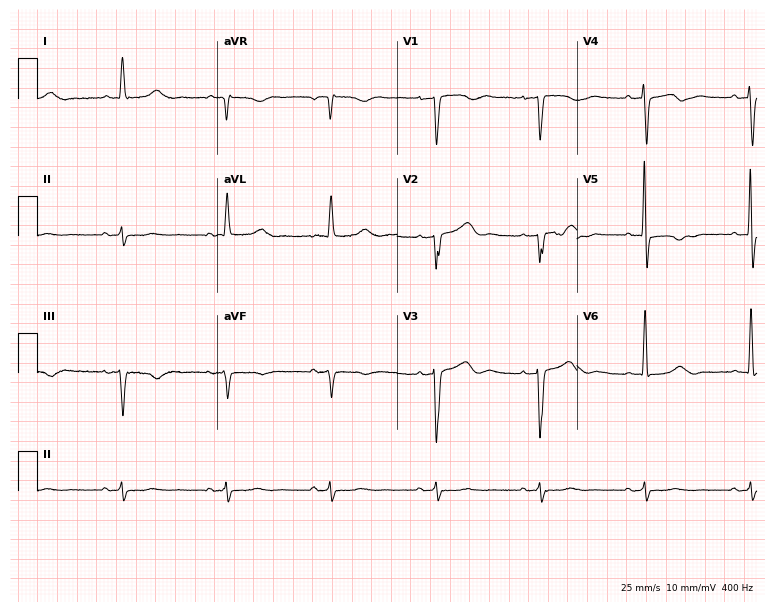
12-lead ECG from an 83-year-old female (7.3-second recording at 400 Hz). No first-degree AV block, right bundle branch block (RBBB), left bundle branch block (LBBB), sinus bradycardia, atrial fibrillation (AF) or sinus tachycardia recorded for this tracing. Findings outside these six are not listed.